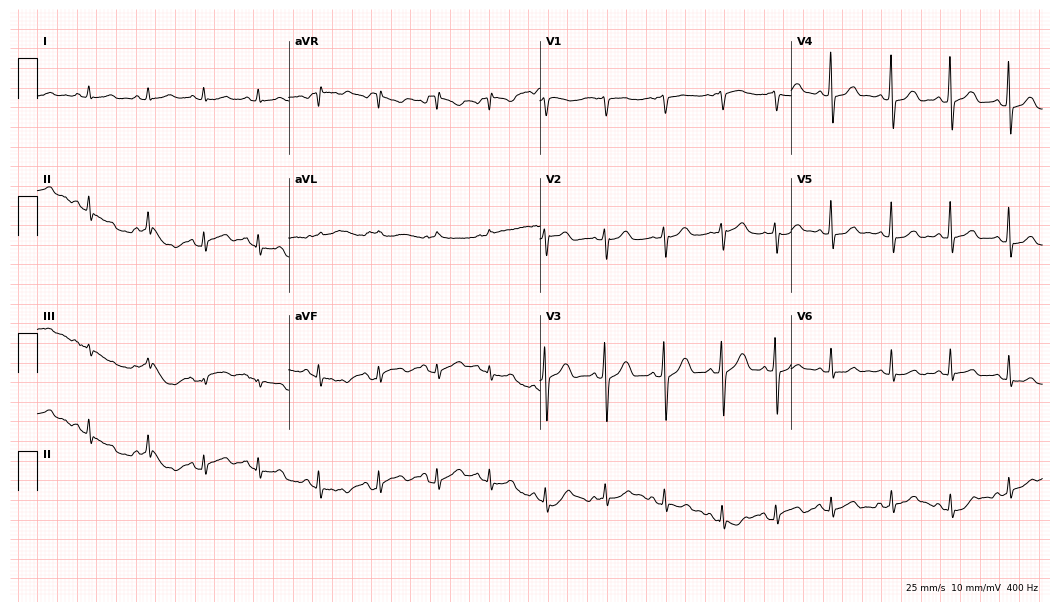
12-lead ECG from a male patient, 68 years old. Screened for six findings — first-degree AV block, right bundle branch block (RBBB), left bundle branch block (LBBB), sinus bradycardia, atrial fibrillation (AF), sinus tachycardia — none is recorded. Only these six findings were labelled.